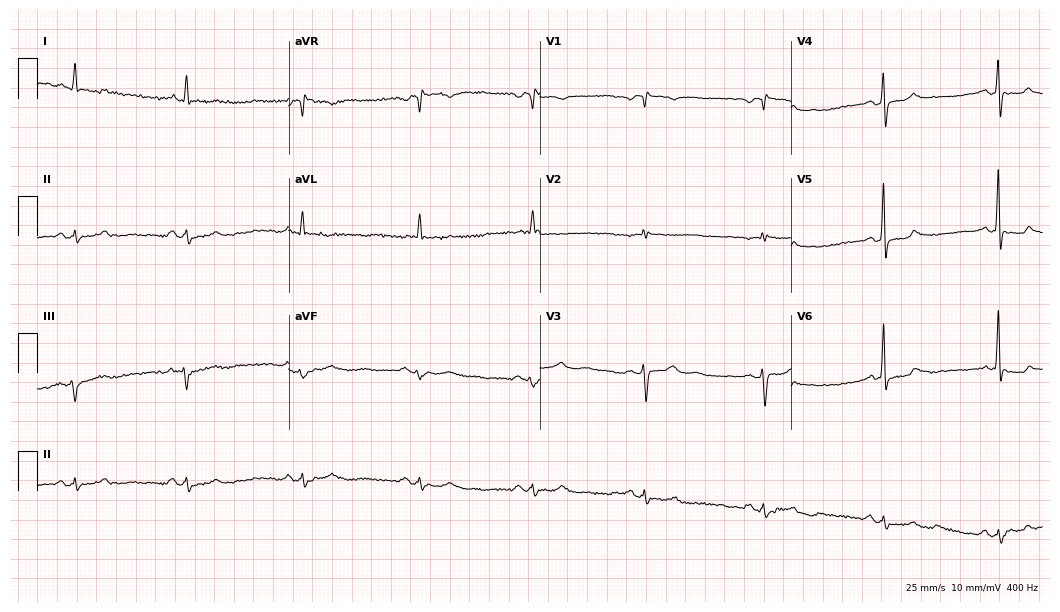
ECG (10.2-second recording at 400 Hz) — a man, 51 years old. Screened for six findings — first-degree AV block, right bundle branch block, left bundle branch block, sinus bradycardia, atrial fibrillation, sinus tachycardia — none is recorded.